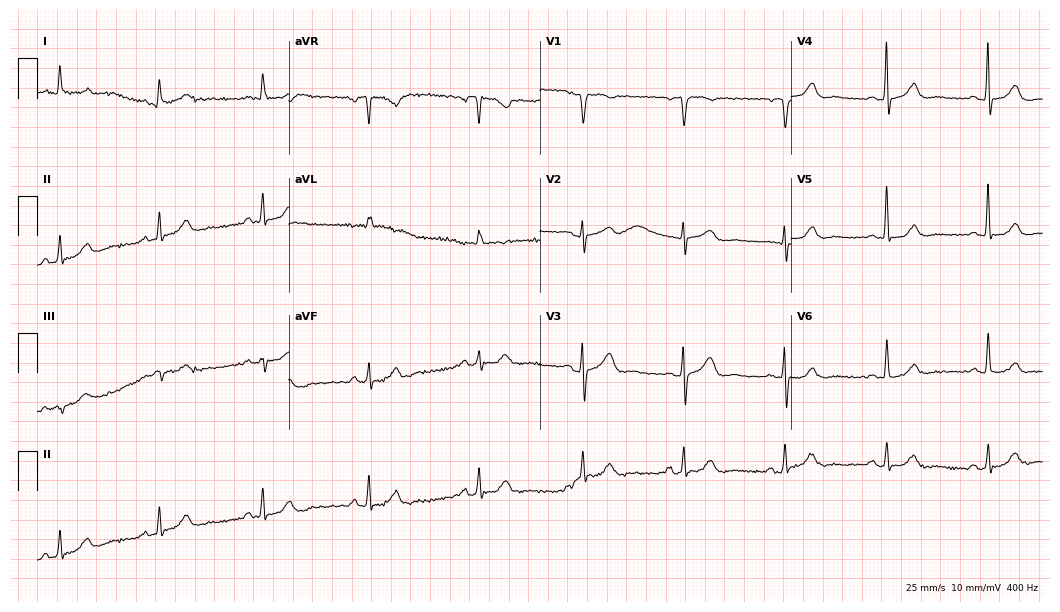
Electrocardiogram, a 61-year-old woman. Overall reading on record: normal ECG.